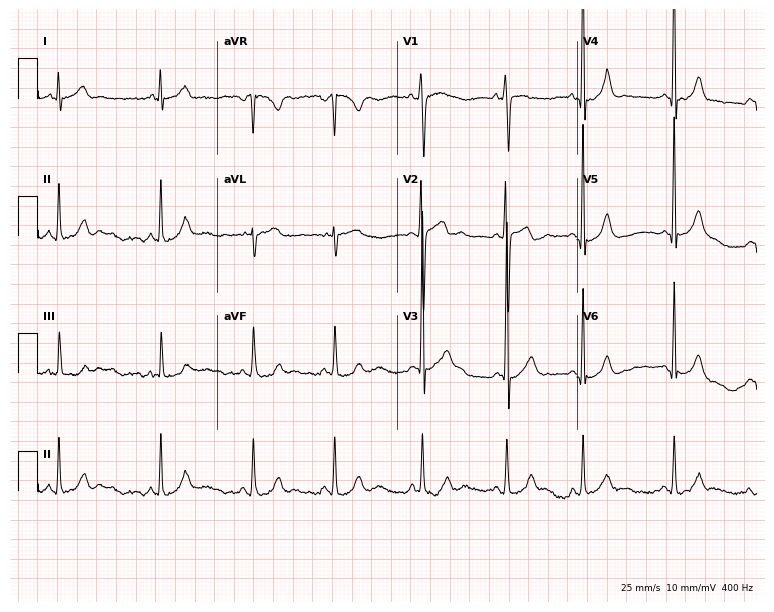
12-lead ECG (7.3-second recording at 400 Hz) from a 17-year-old man. Screened for six findings — first-degree AV block, right bundle branch block, left bundle branch block, sinus bradycardia, atrial fibrillation, sinus tachycardia — none is recorded.